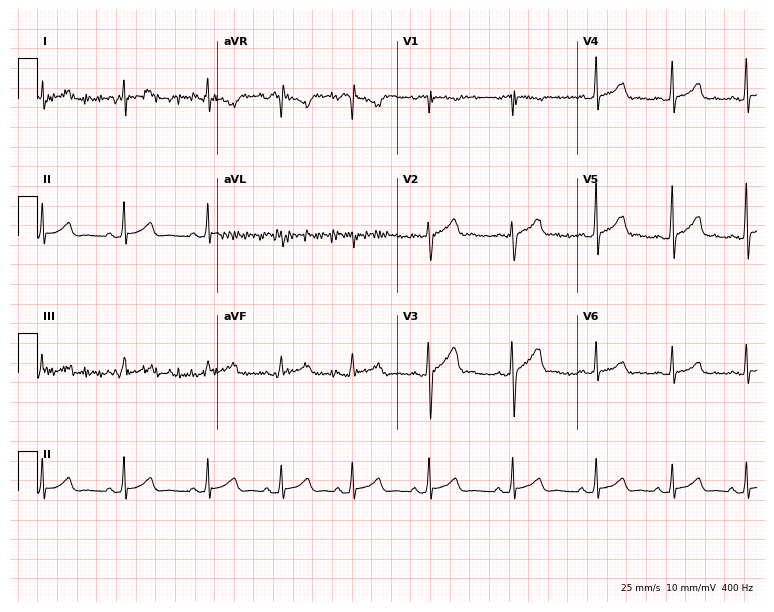
12-lead ECG (7.3-second recording at 400 Hz) from a 20-year-old female patient. Labelled as a normal ECG.